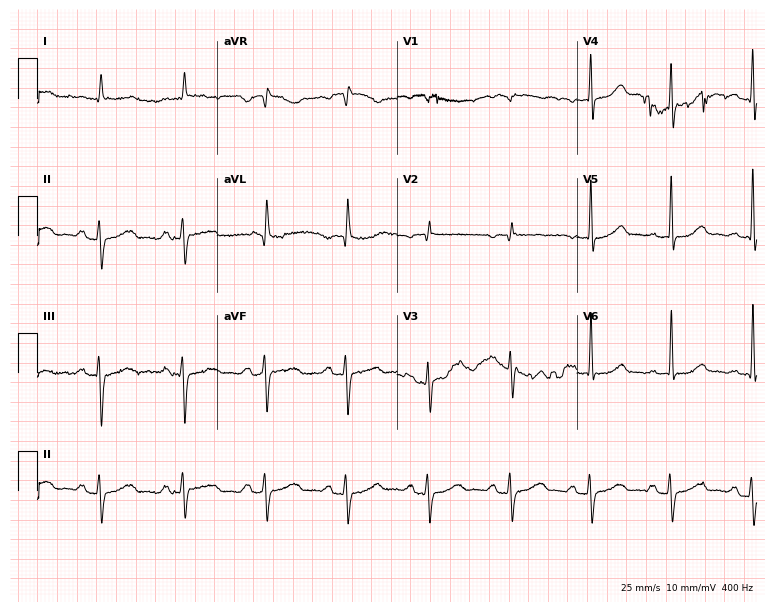
Standard 12-lead ECG recorded from a man, 84 years old (7.3-second recording at 400 Hz). None of these six findings is recorded: first-degree AV block, right bundle branch block (RBBB), left bundle branch block (LBBB), sinus bradycardia, atrial fibrillation (AF), sinus tachycardia. Findings outside these six are not listed.